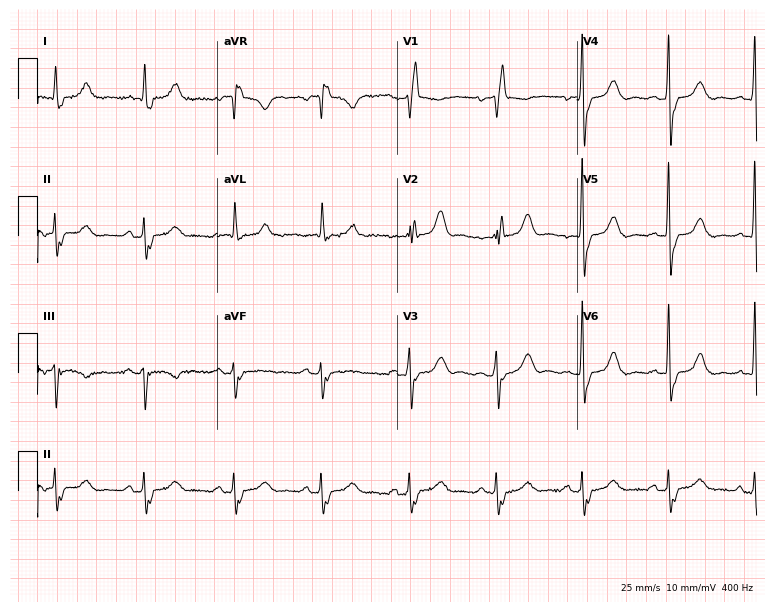
Resting 12-lead electrocardiogram (7.3-second recording at 400 Hz). Patient: a 47-year-old woman. The tracing shows right bundle branch block.